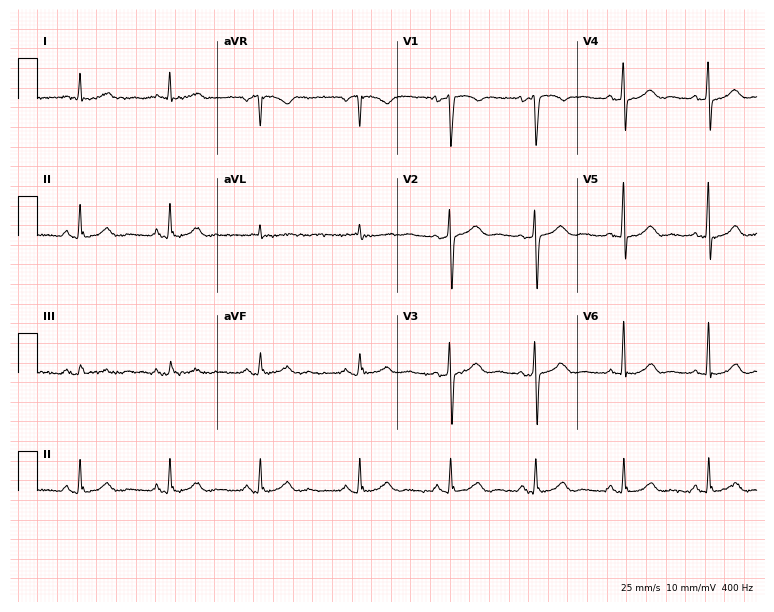
ECG — a female patient, 44 years old. Labelled as a normal ECG.